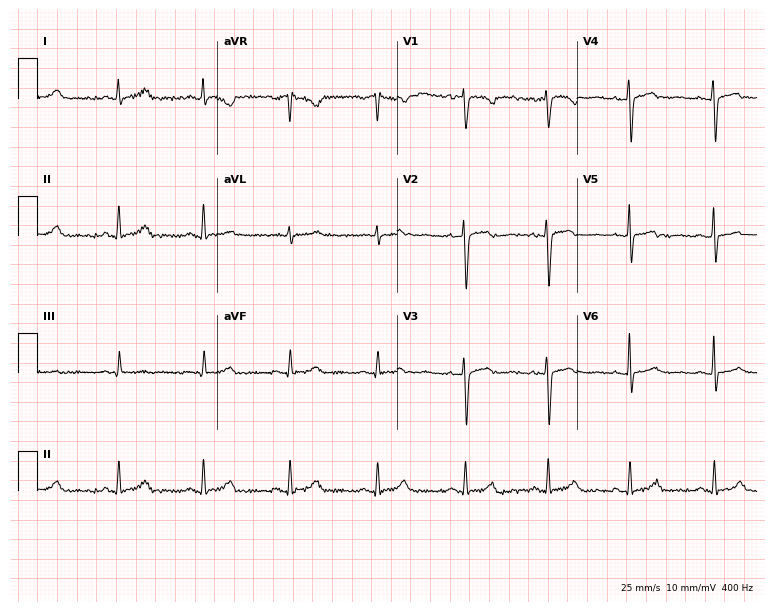
Standard 12-lead ECG recorded from a 34-year-old woman (7.3-second recording at 400 Hz). None of these six findings is recorded: first-degree AV block, right bundle branch block, left bundle branch block, sinus bradycardia, atrial fibrillation, sinus tachycardia.